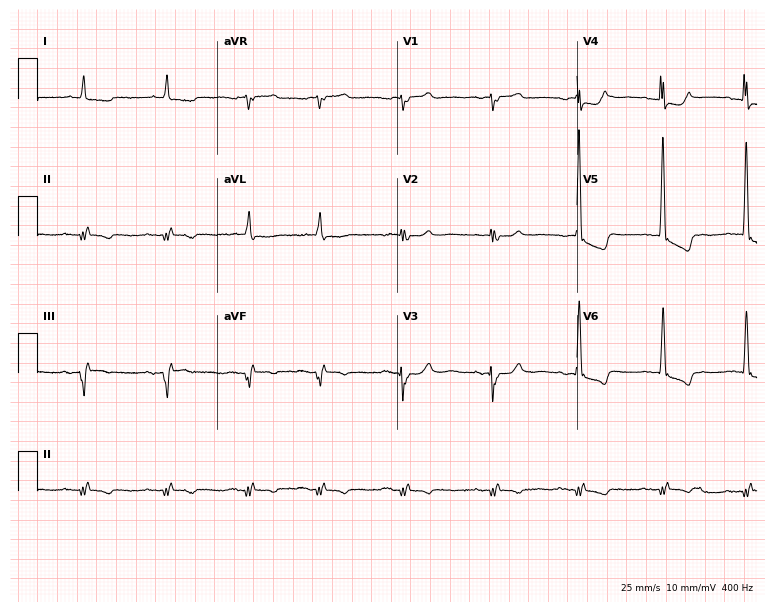
12-lead ECG (7.3-second recording at 400 Hz) from an 81-year-old male. Screened for six findings — first-degree AV block, right bundle branch block, left bundle branch block, sinus bradycardia, atrial fibrillation, sinus tachycardia — none is recorded. Findings outside these six are not listed.